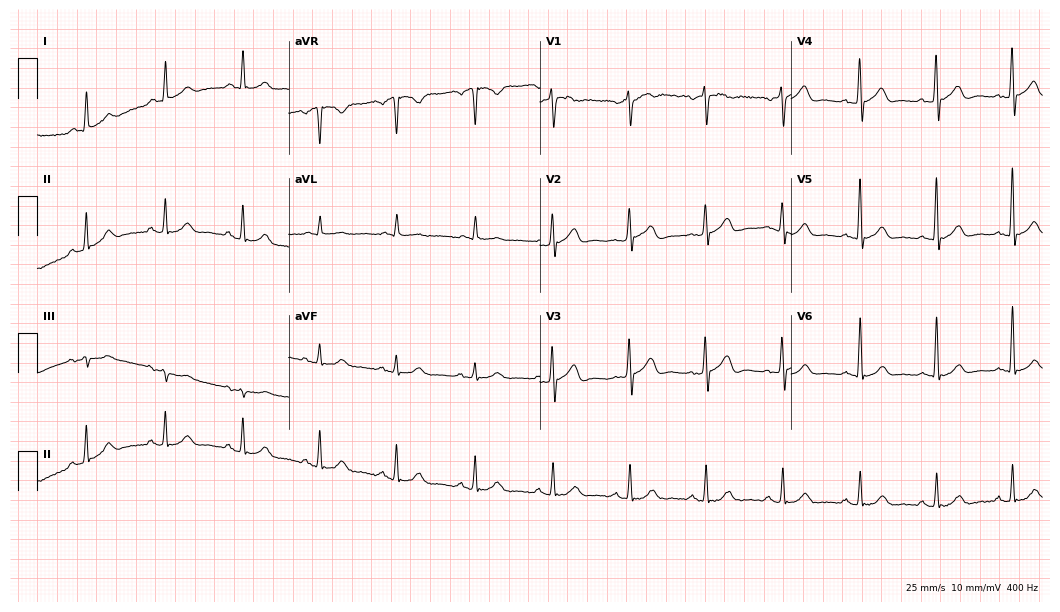
Resting 12-lead electrocardiogram (10.2-second recording at 400 Hz). Patient: a male, 54 years old. Read as a normal ECG.